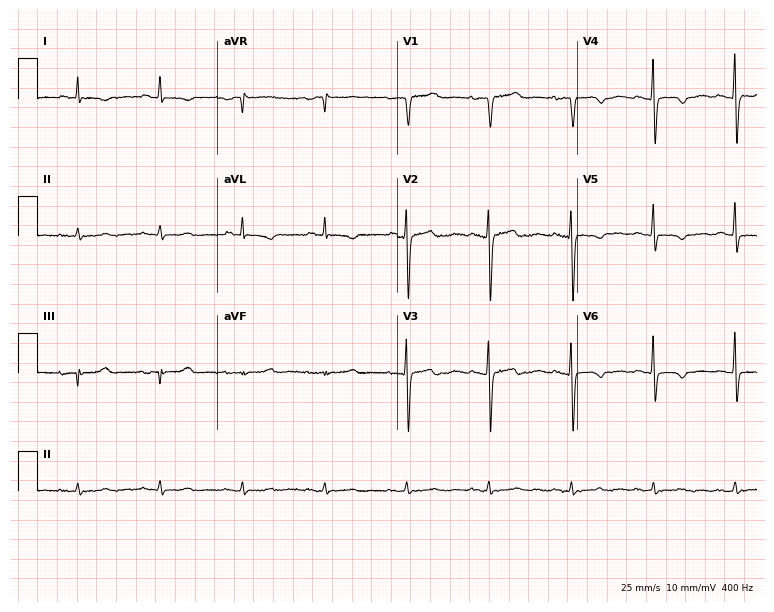
Electrocardiogram (7.3-second recording at 400 Hz), a 75-year-old female. Of the six screened findings (first-degree AV block, right bundle branch block (RBBB), left bundle branch block (LBBB), sinus bradycardia, atrial fibrillation (AF), sinus tachycardia), none is recorded.